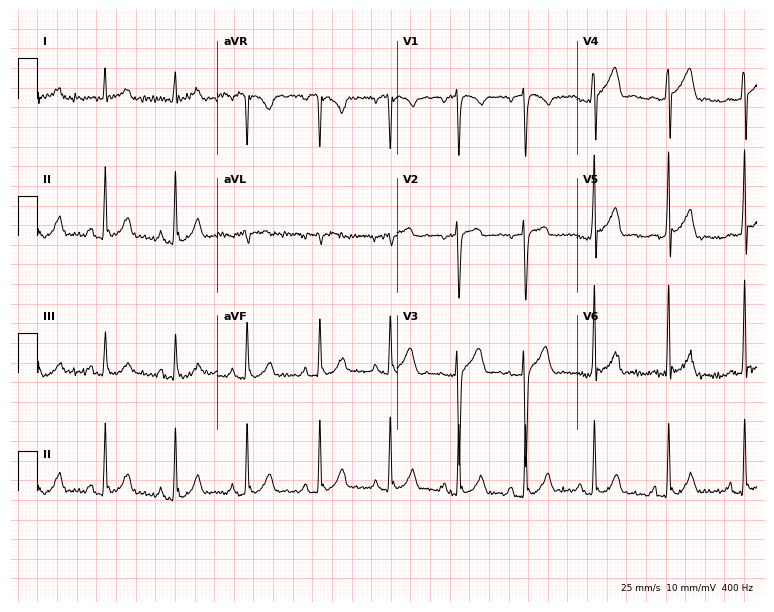
Electrocardiogram, a 34-year-old female. Of the six screened findings (first-degree AV block, right bundle branch block (RBBB), left bundle branch block (LBBB), sinus bradycardia, atrial fibrillation (AF), sinus tachycardia), none is recorded.